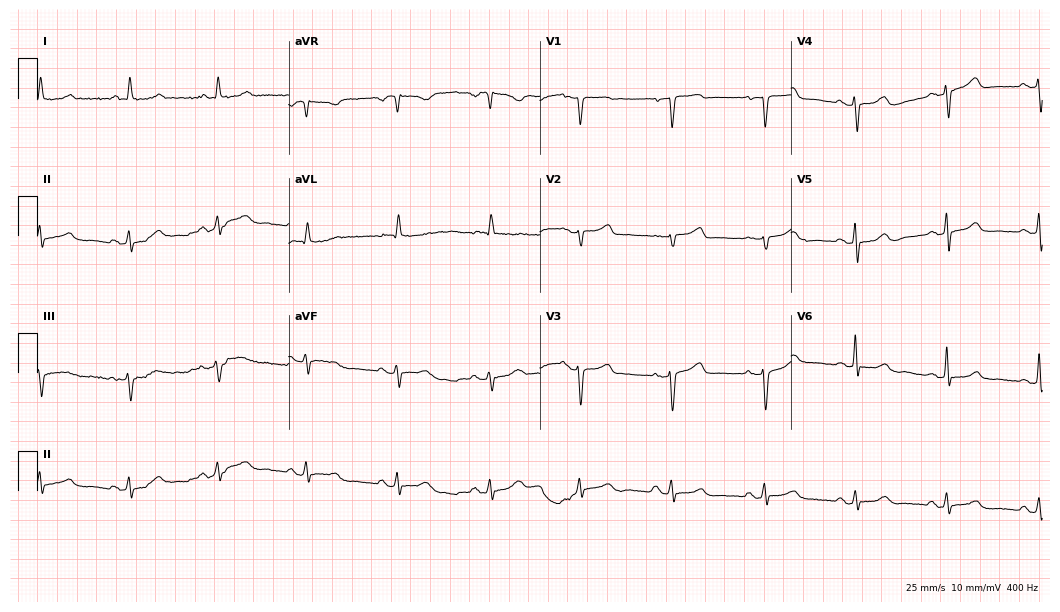
Standard 12-lead ECG recorded from a 70-year-old woman. Read as a normal ECG.